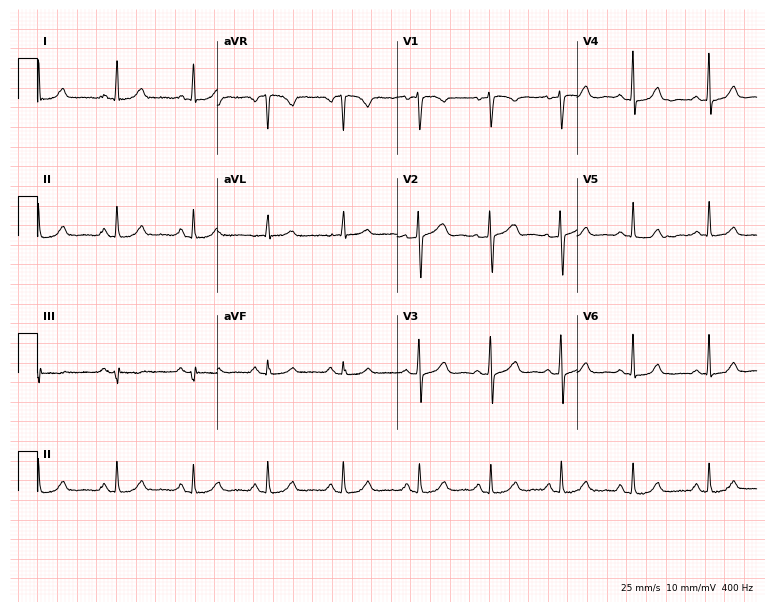
ECG — a female, 84 years old. Screened for six findings — first-degree AV block, right bundle branch block (RBBB), left bundle branch block (LBBB), sinus bradycardia, atrial fibrillation (AF), sinus tachycardia — none is recorded. Findings outside these six are not listed.